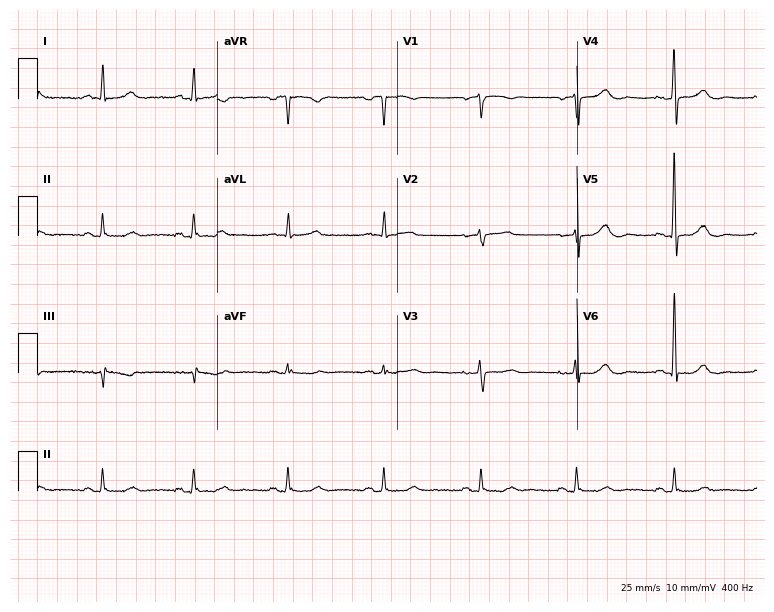
12-lead ECG from a woman, 72 years old (7.3-second recording at 400 Hz). Recorded interpretation: within normal limits.